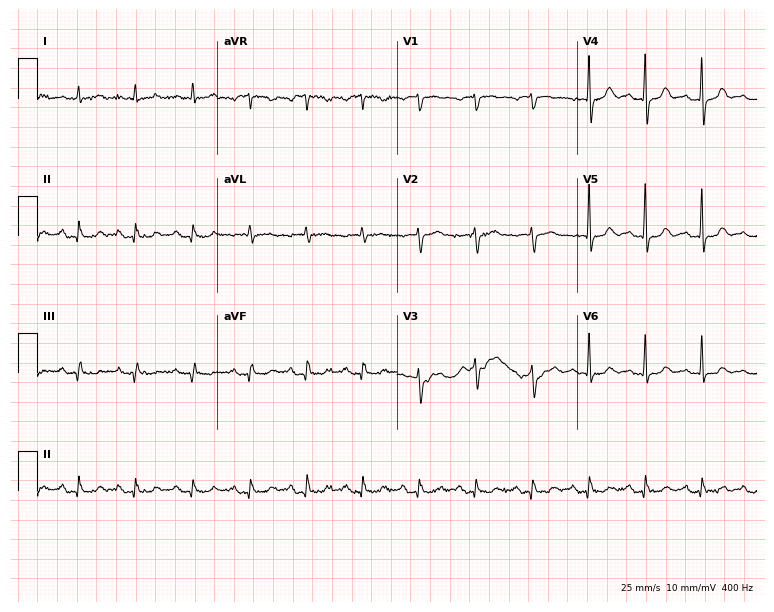
Standard 12-lead ECG recorded from a male patient, 85 years old (7.3-second recording at 400 Hz). None of these six findings is recorded: first-degree AV block, right bundle branch block, left bundle branch block, sinus bradycardia, atrial fibrillation, sinus tachycardia.